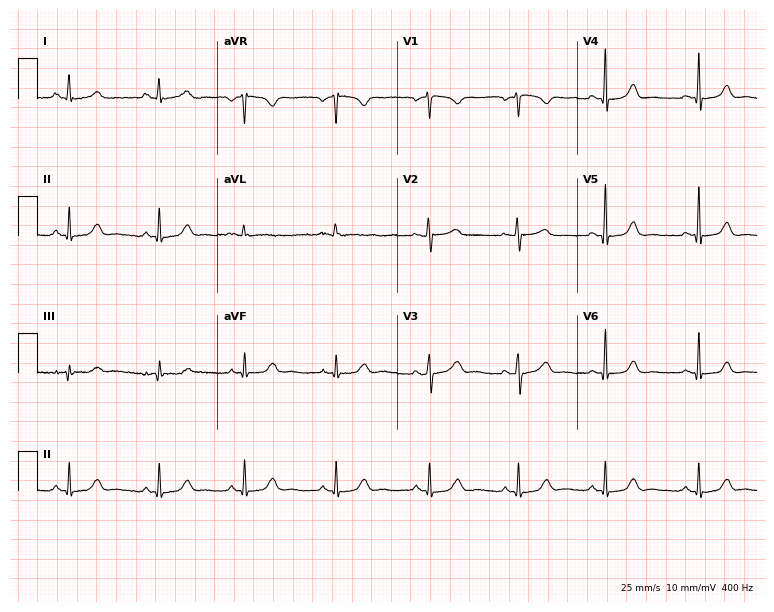
Resting 12-lead electrocardiogram. Patient: a 41-year-old female. Read as a normal ECG.